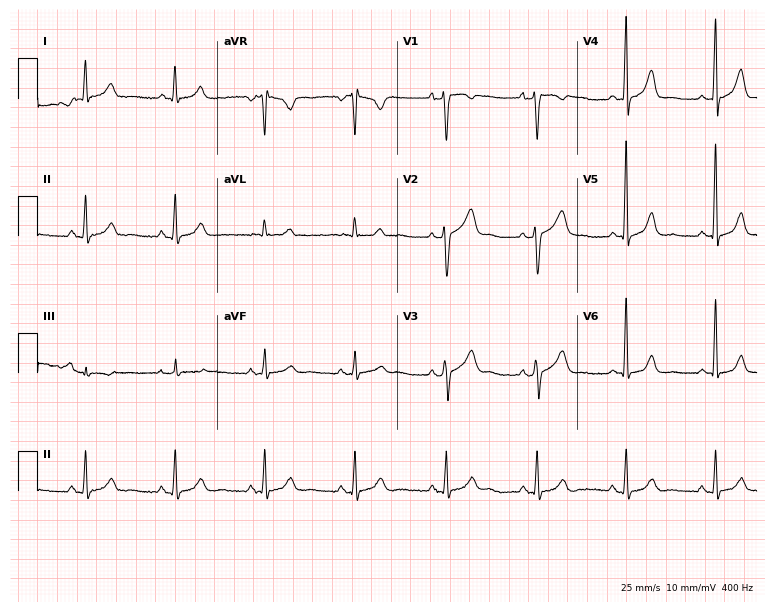
ECG (7.3-second recording at 400 Hz) — a 56-year-old woman. Screened for six findings — first-degree AV block, right bundle branch block (RBBB), left bundle branch block (LBBB), sinus bradycardia, atrial fibrillation (AF), sinus tachycardia — none is recorded. Other findings, if any, are not listed.